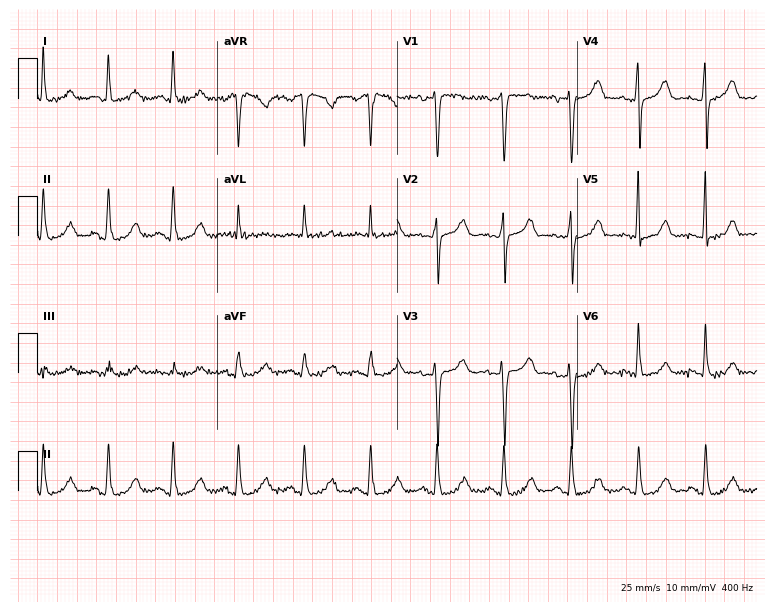
Electrocardiogram, a 58-year-old female. Of the six screened findings (first-degree AV block, right bundle branch block, left bundle branch block, sinus bradycardia, atrial fibrillation, sinus tachycardia), none is recorded.